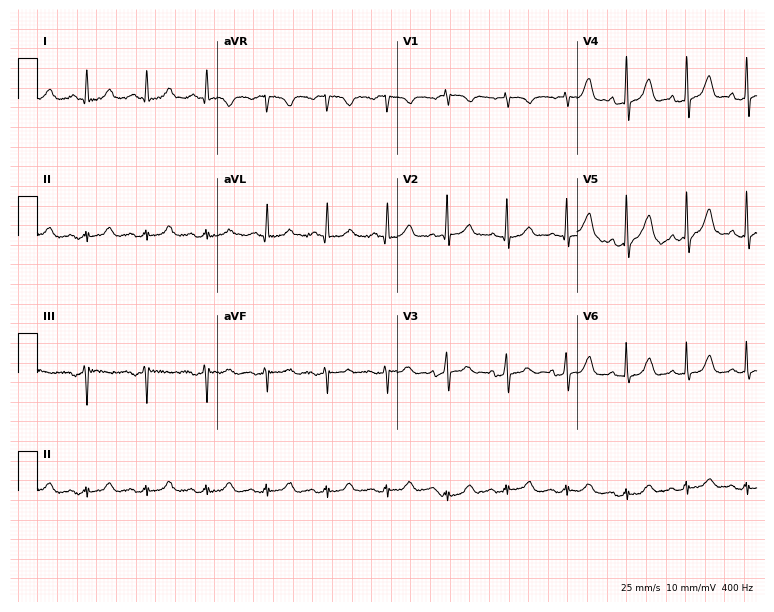
Standard 12-lead ECG recorded from a man, 63 years old. None of these six findings is recorded: first-degree AV block, right bundle branch block, left bundle branch block, sinus bradycardia, atrial fibrillation, sinus tachycardia.